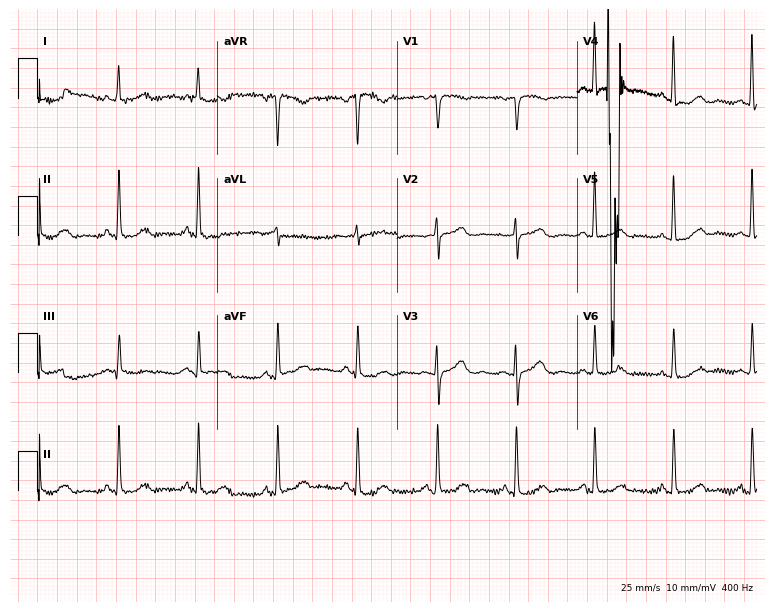
Standard 12-lead ECG recorded from a female patient, 72 years old. None of these six findings is recorded: first-degree AV block, right bundle branch block, left bundle branch block, sinus bradycardia, atrial fibrillation, sinus tachycardia. Other findings, if any, are not listed.